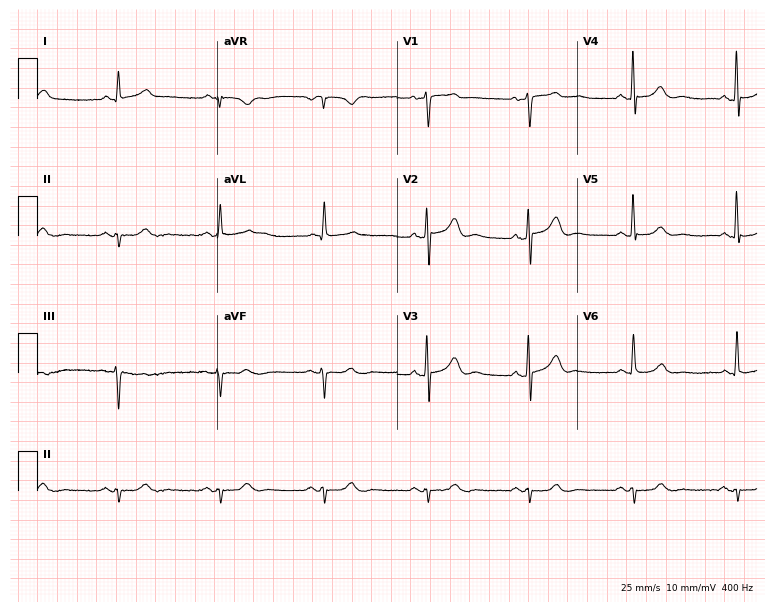
Electrocardiogram, a 64-year-old male patient. Of the six screened findings (first-degree AV block, right bundle branch block, left bundle branch block, sinus bradycardia, atrial fibrillation, sinus tachycardia), none is recorded. Only these six findings were labelled.